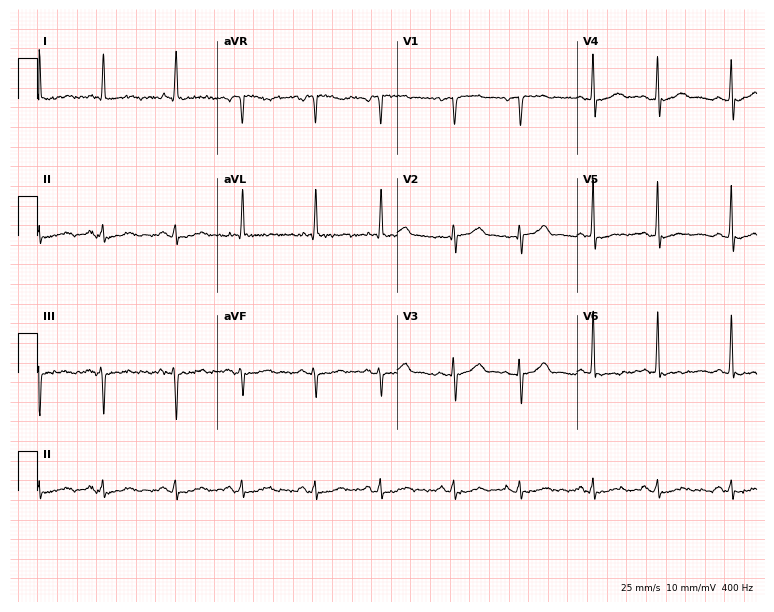
12-lead ECG from a 79-year-old male patient (7.3-second recording at 400 Hz). No first-degree AV block, right bundle branch block, left bundle branch block, sinus bradycardia, atrial fibrillation or sinus tachycardia recorded for this tracing. Only these six findings were labelled.